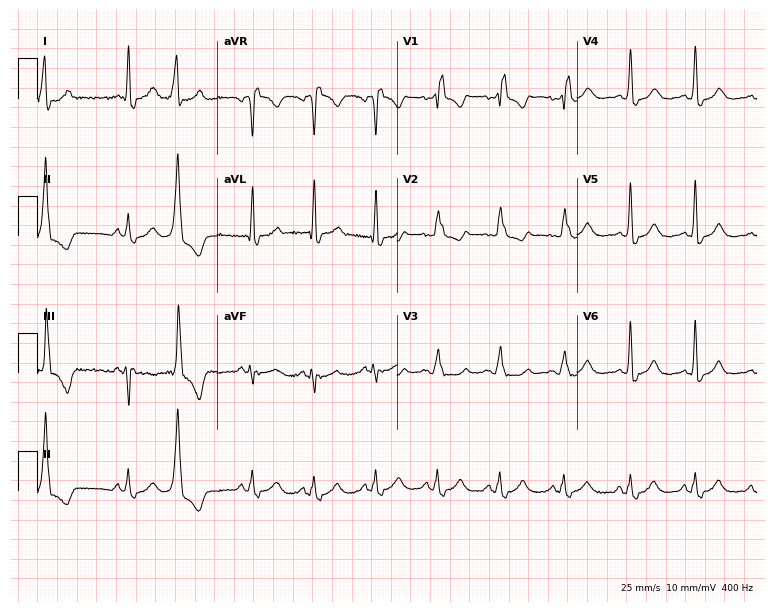
12-lead ECG (7.3-second recording at 400 Hz) from a 64-year-old female patient. Findings include right bundle branch block.